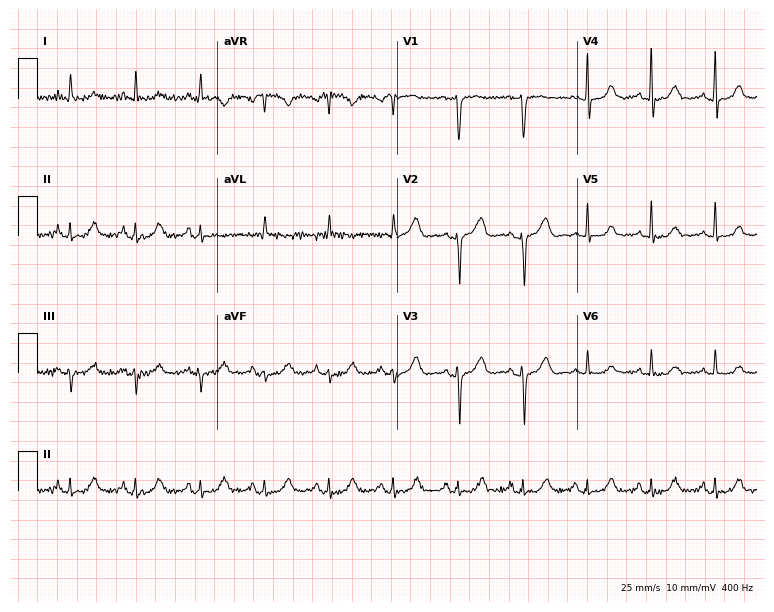
Standard 12-lead ECG recorded from a 59-year-old woman. None of these six findings is recorded: first-degree AV block, right bundle branch block (RBBB), left bundle branch block (LBBB), sinus bradycardia, atrial fibrillation (AF), sinus tachycardia.